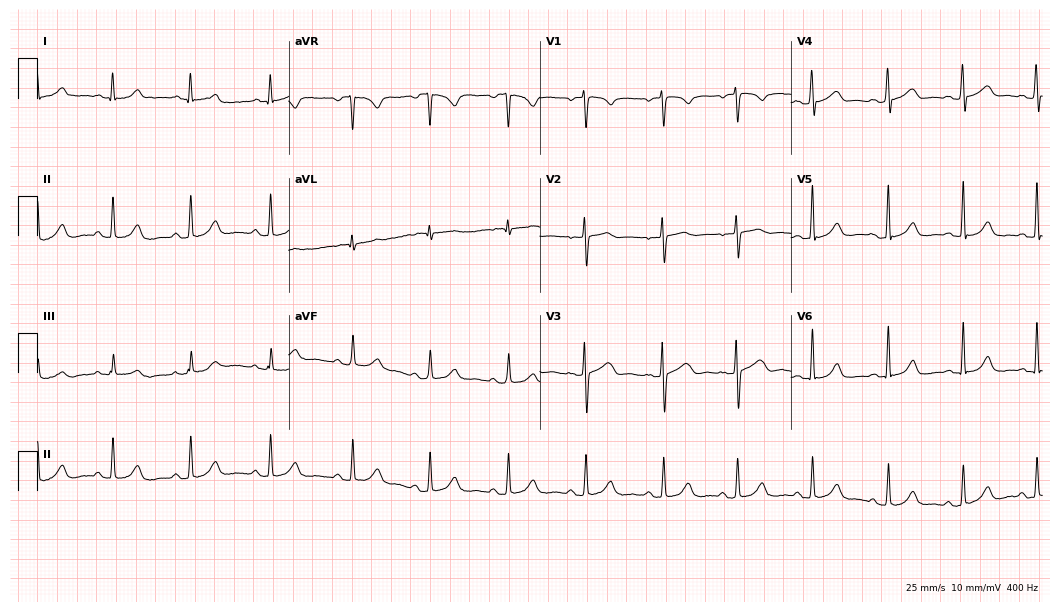
Standard 12-lead ECG recorded from a 46-year-old woman. Read as a normal ECG.